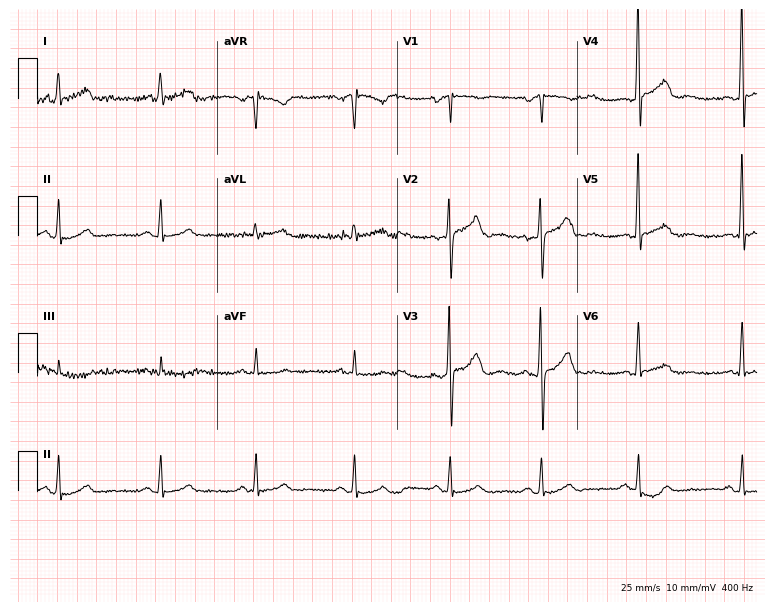
Electrocardiogram (7.3-second recording at 400 Hz), a male patient, 52 years old. Of the six screened findings (first-degree AV block, right bundle branch block, left bundle branch block, sinus bradycardia, atrial fibrillation, sinus tachycardia), none is recorded.